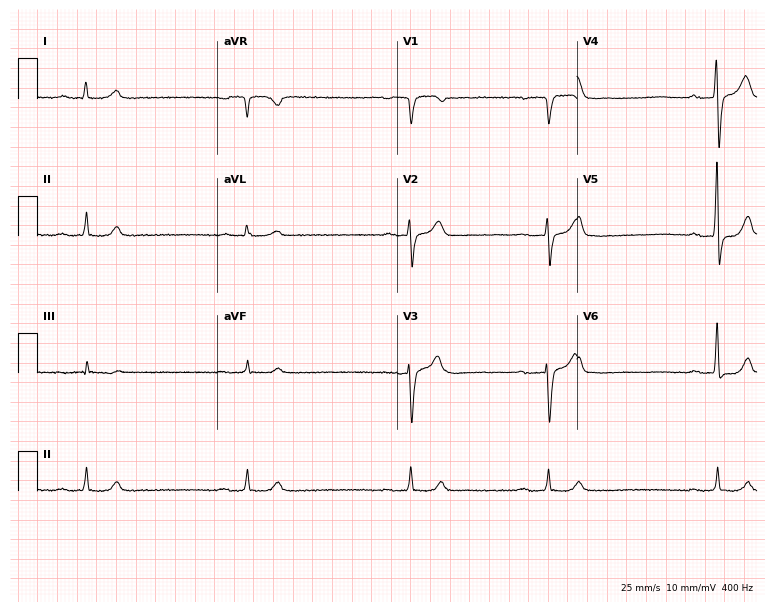
12-lead ECG (7.3-second recording at 400 Hz) from a man, 59 years old. Screened for six findings — first-degree AV block, right bundle branch block, left bundle branch block, sinus bradycardia, atrial fibrillation, sinus tachycardia — none is recorded. Other findings, if any, are not listed.